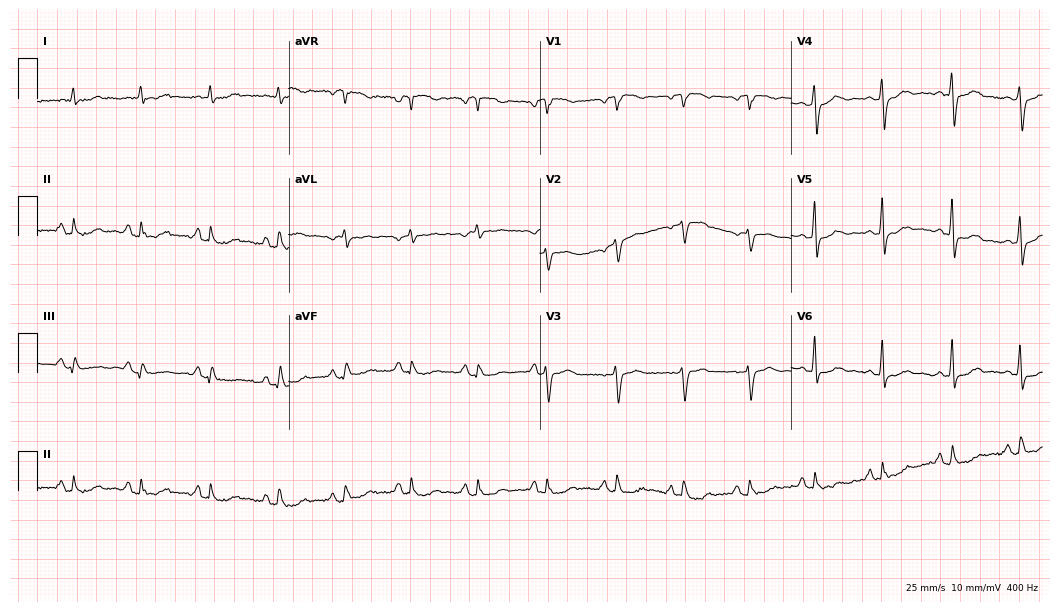
Resting 12-lead electrocardiogram. Patient: a 63-year-old female. None of these six findings is recorded: first-degree AV block, right bundle branch block, left bundle branch block, sinus bradycardia, atrial fibrillation, sinus tachycardia.